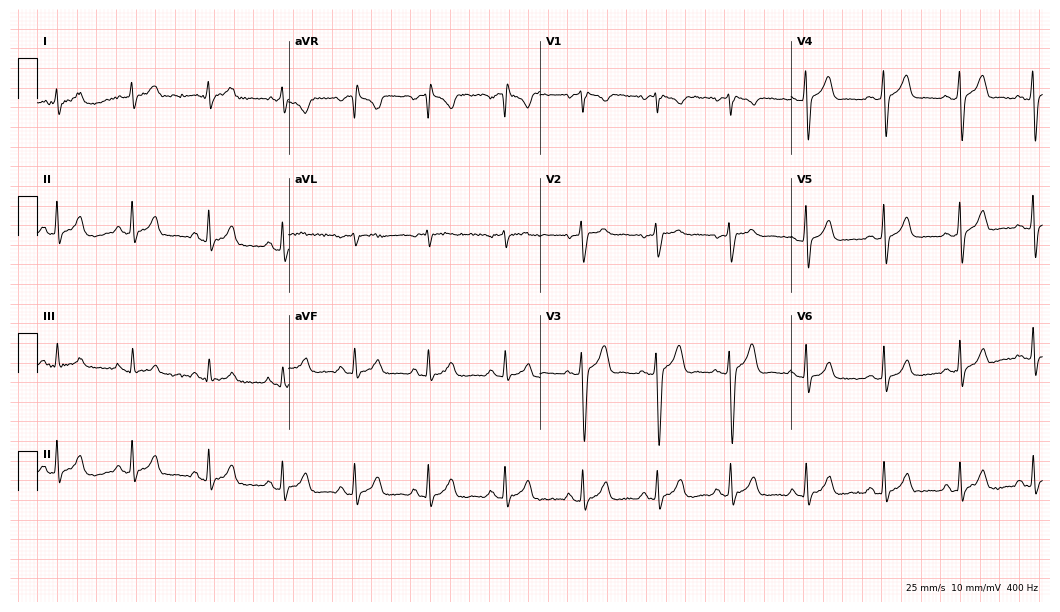
12-lead ECG (10.2-second recording at 400 Hz) from a male patient, 25 years old. Labelled as a normal ECG.